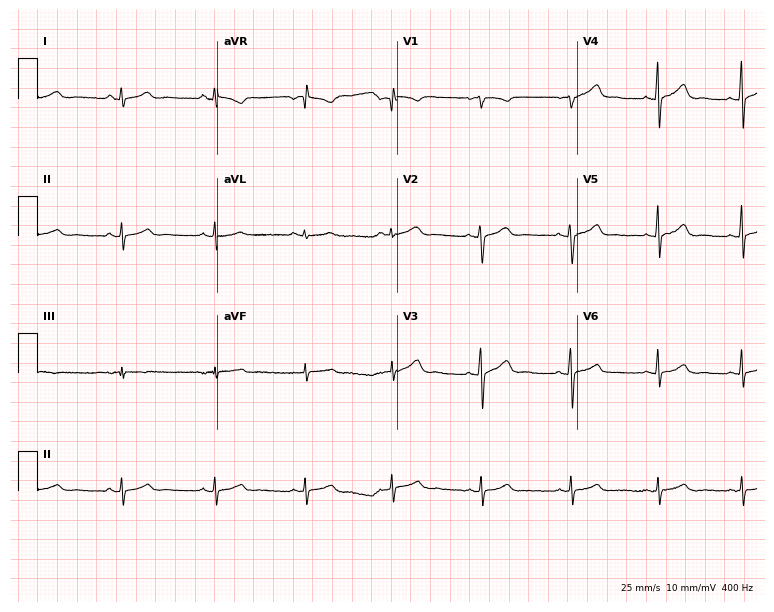
Standard 12-lead ECG recorded from a female patient, 31 years old. Read as a normal ECG.